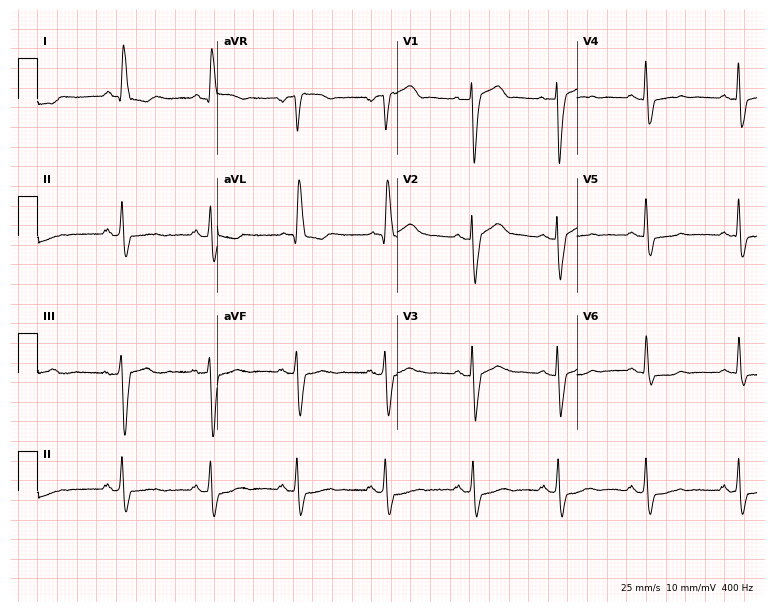
12-lead ECG from a woman, 69 years old. Screened for six findings — first-degree AV block, right bundle branch block (RBBB), left bundle branch block (LBBB), sinus bradycardia, atrial fibrillation (AF), sinus tachycardia — none is recorded. Findings outside these six are not listed.